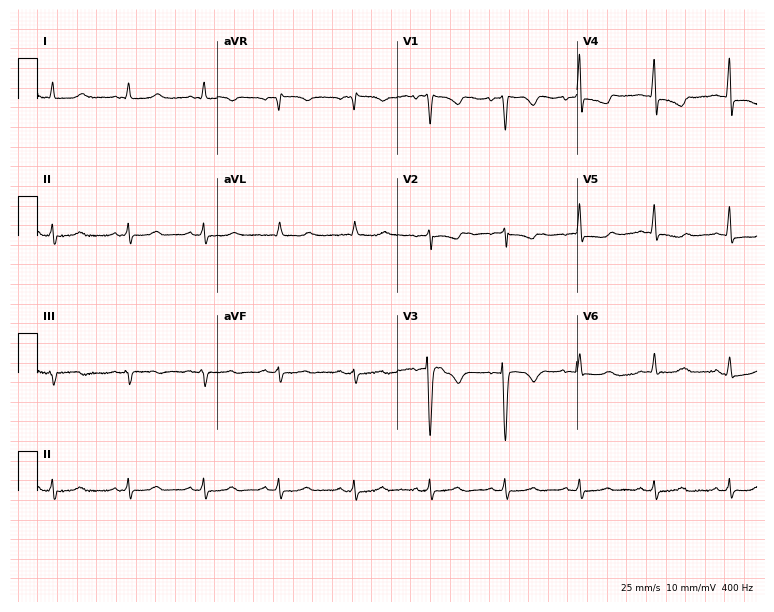
Standard 12-lead ECG recorded from a woman, 82 years old (7.3-second recording at 400 Hz). None of these six findings is recorded: first-degree AV block, right bundle branch block, left bundle branch block, sinus bradycardia, atrial fibrillation, sinus tachycardia.